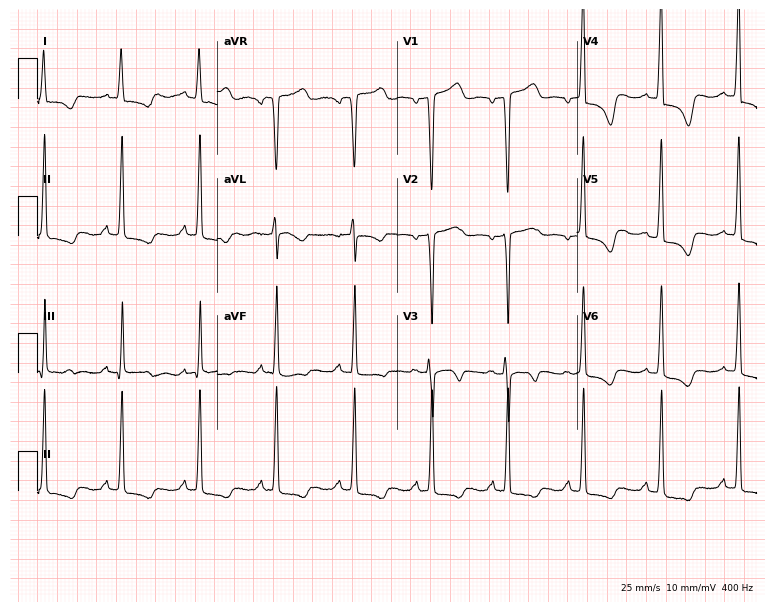
ECG (7.3-second recording at 400 Hz) — a female, 73 years old. Screened for six findings — first-degree AV block, right bundle branch block, left bundle branch block, sinus bradycardia, atrial fibrillation, sinus tachycardia — none is recorded.